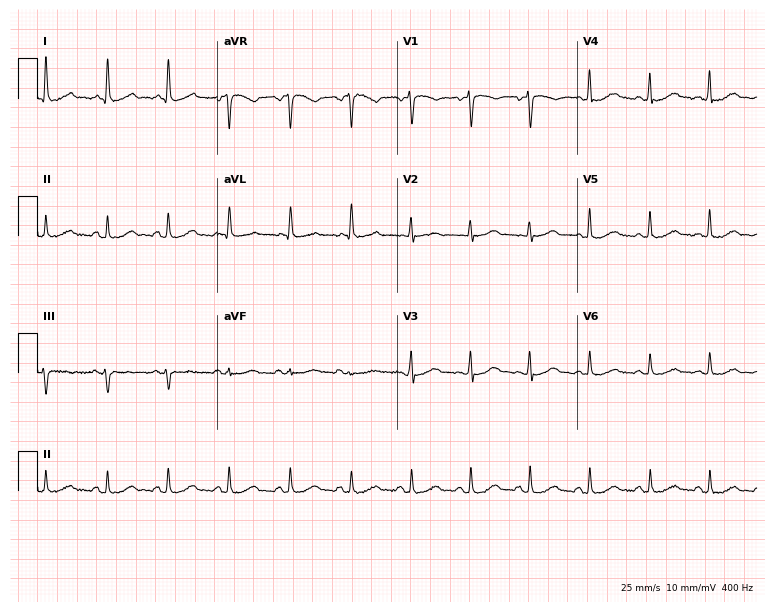
12-lead ECG from a female, 53 years old. Labelled as a normal ECG.